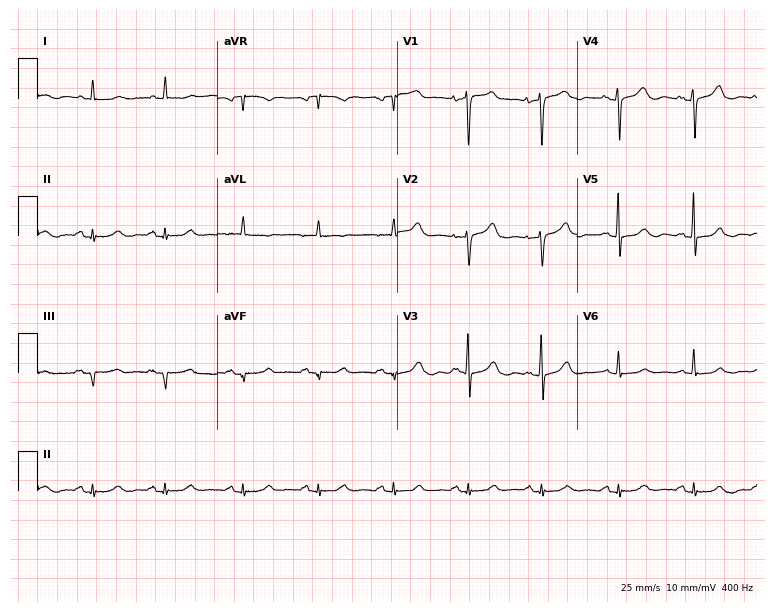
ECG (7.3-second recording at 400 Hz) — an 81-year-old female. Labelled as a normal ECG.